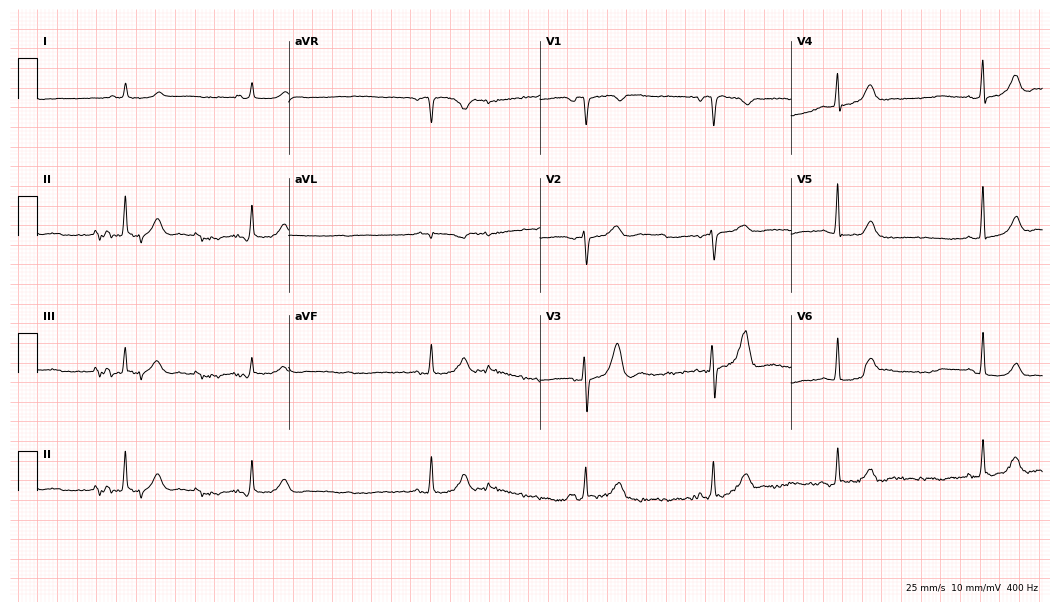
ECG — an 83-year-old female. Findings include atrial fibrillation.